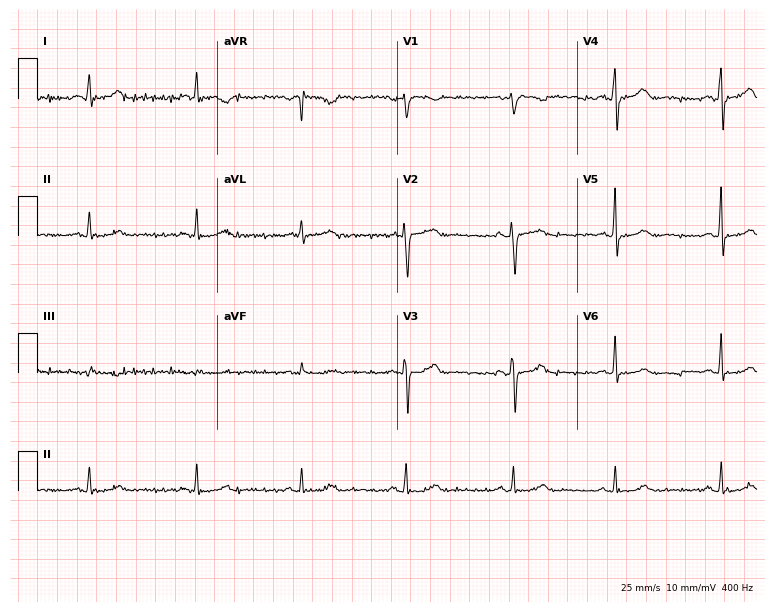
ECG — a 70-year-old female. Labelled as a normal ECG.